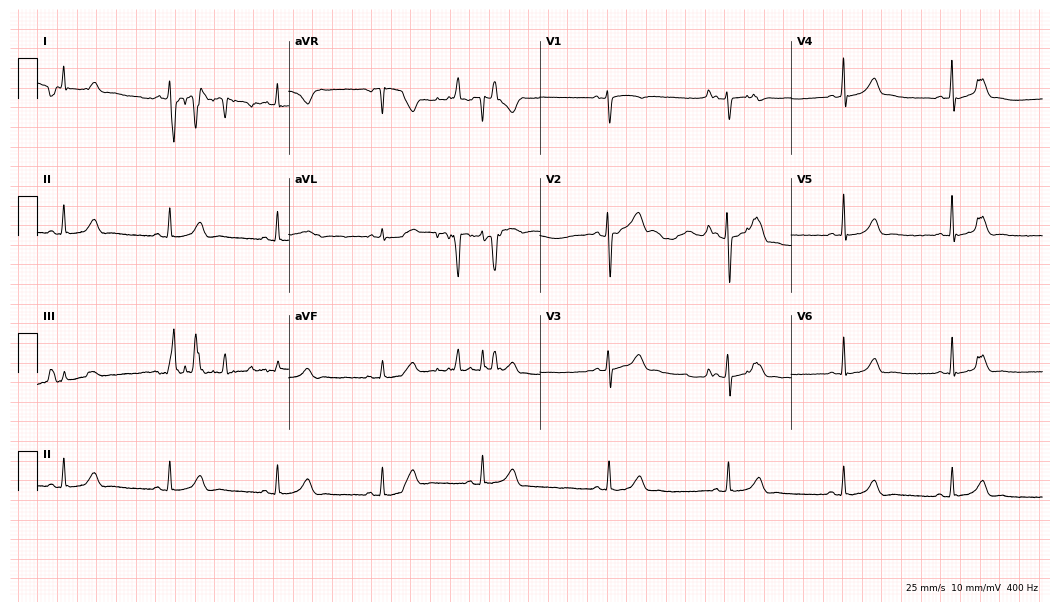
Electrocardiogram (10.2-second recording at 400 Hz), a 48-year-old female patient. Overall reading on record: normal ECG.